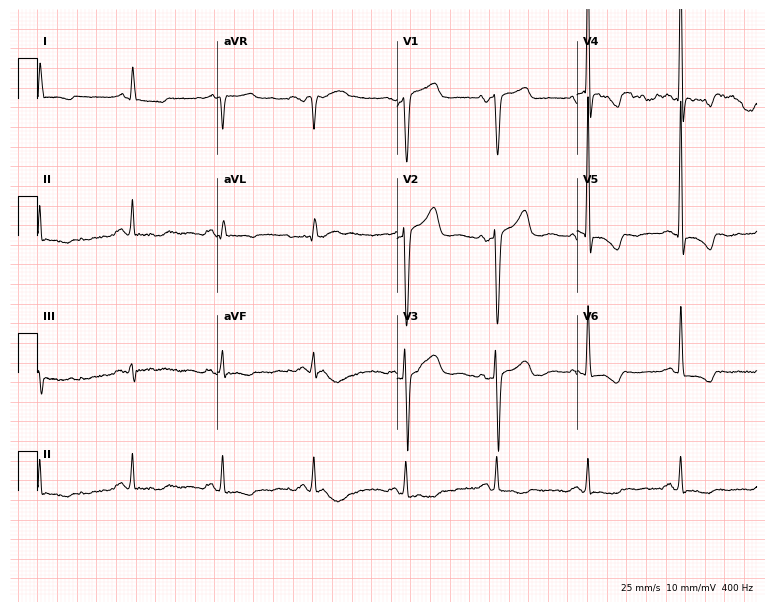
Standard 12-lead ECG recorded from a man, 67 years old (7.3-second recording at 400 Hz). None of these six findings is recorded: first-degree AV block, right bundle branch block (RBBB), left bundle branch block (LBBB), sinus bradycardia, atrial fibrillation (AF), sinus tachycardia.